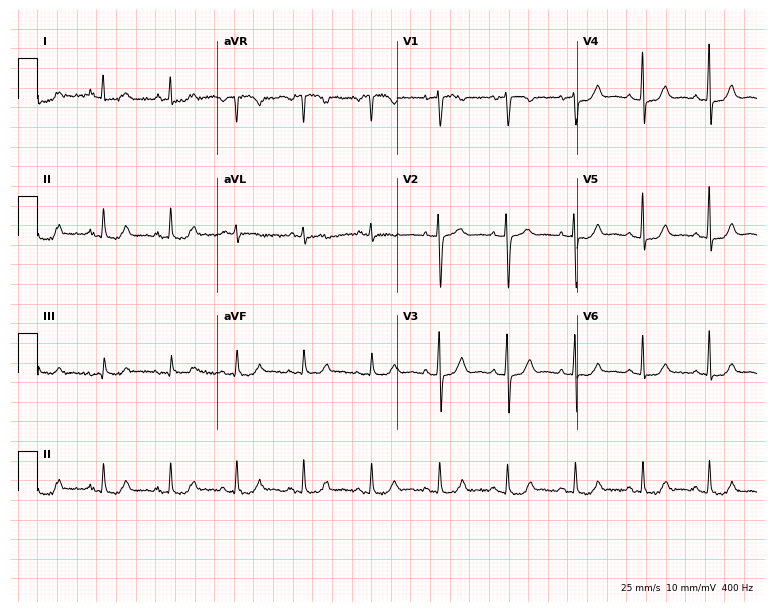
ECG — a woman, 70 years old. Labelled as a normal ECG.